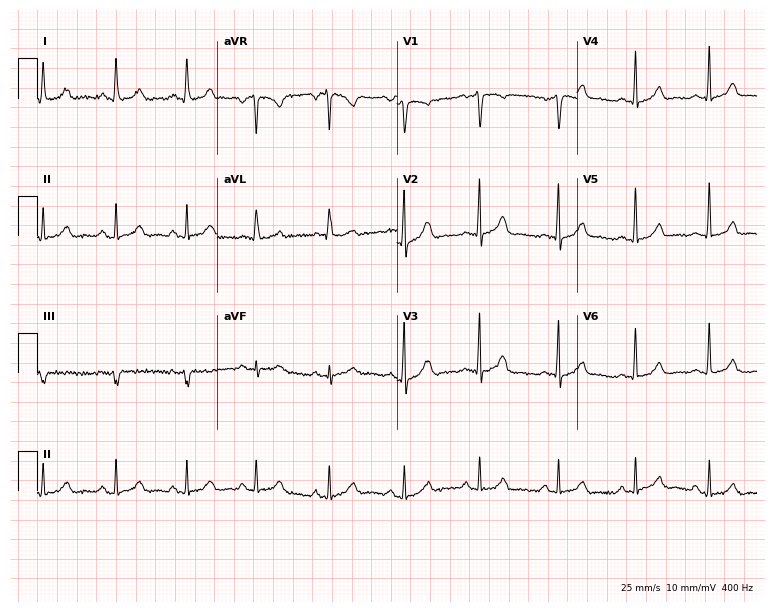
12-lead ECG (7.3-second recording at 400 Hz) from a 40-year-old woman. Labelled as a normal ECG.